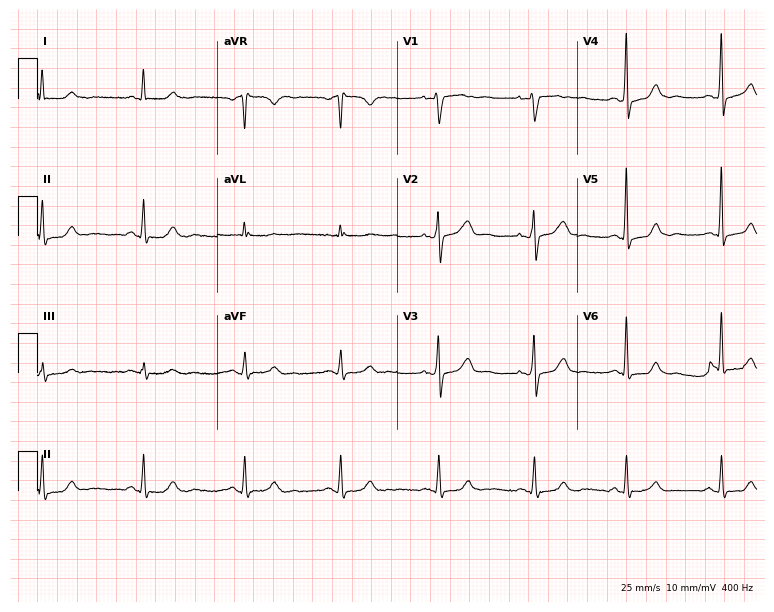
ECG (7.3-second recording at 400 Hz) — a woman, 64 years old. Labelled as a normal ECG.